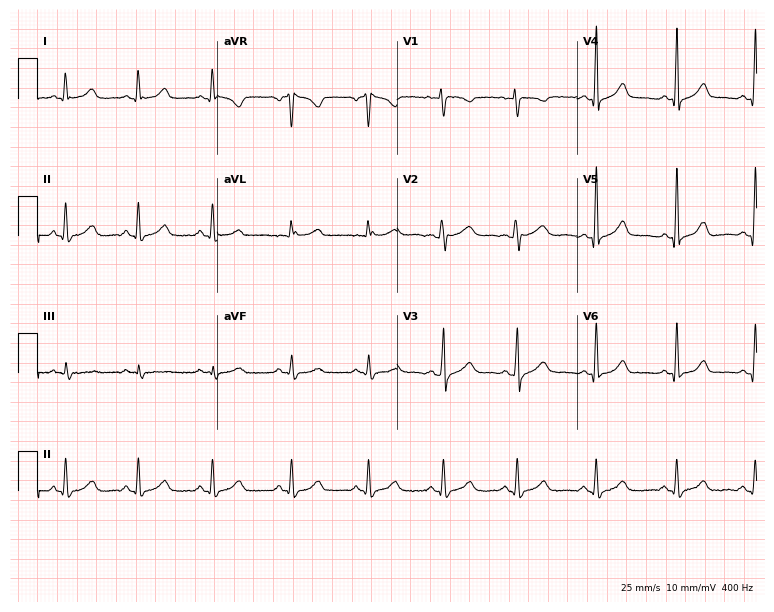
ECG (7.3-second recording at 400 Hz) — a woman, 36 years old. Labelled as a normal ECG.